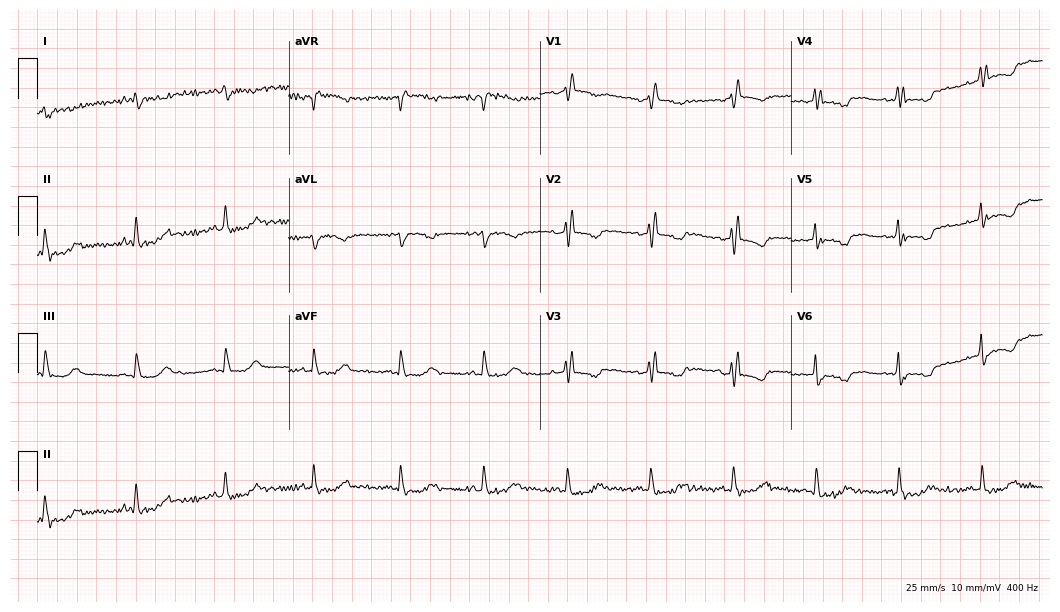
12-lead ECG (10.2-second recording at 400 Hz) from a female patient, 60 years old. Findings include right bundle branch block.